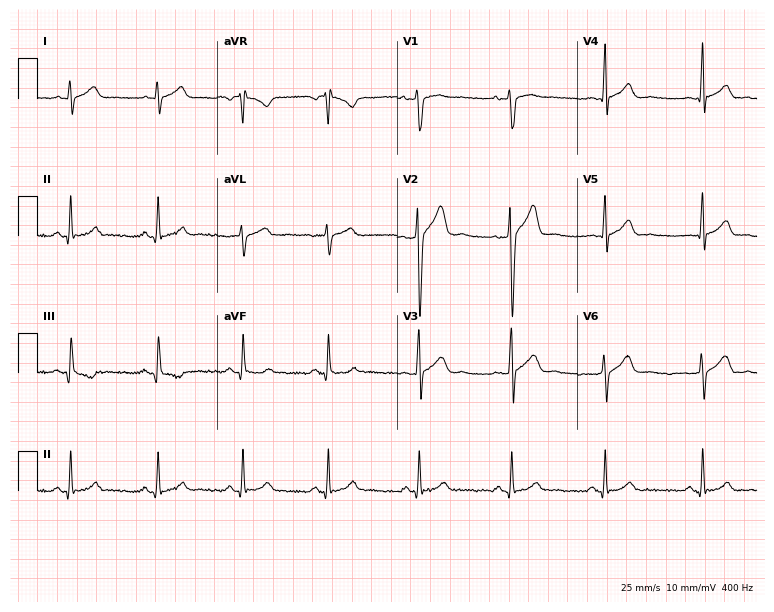
Resting 12-lead electrocardiogram. Patient: a man, 35 years old. Read as a normal ECG.